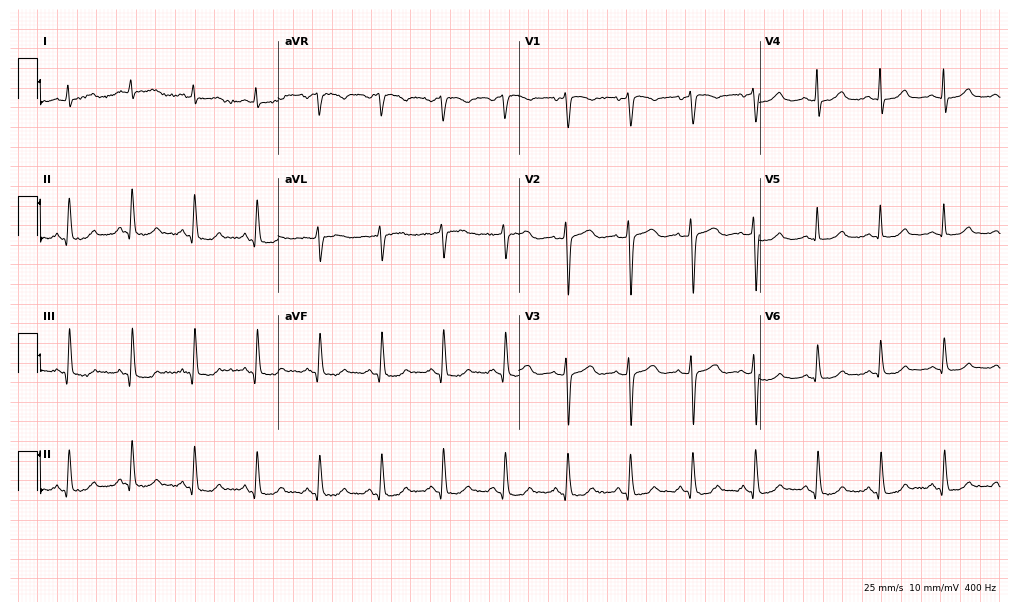
Electrocardiogram (9.8-second recording at 400 Hz), a female patient, 65 years old. Of the six screened findings (first-degree AV block, right bundle branch block, left bundle branch block, sinus bradycardia, atrial fibrillation, sinus tachycardia), none is recorded.